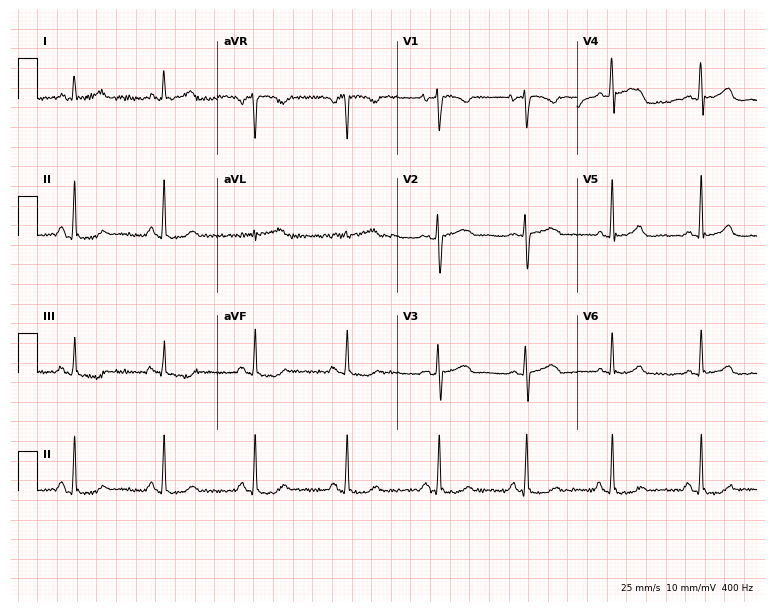
12-lead ECG from a woman, 45 years old. No first-degree AV block, right bundle branch block, left bundle branch block, sinus bradycardia, atrial fibrillation or sinus tachycardia recorded for this tracing. Other findings, if any, are not listed.